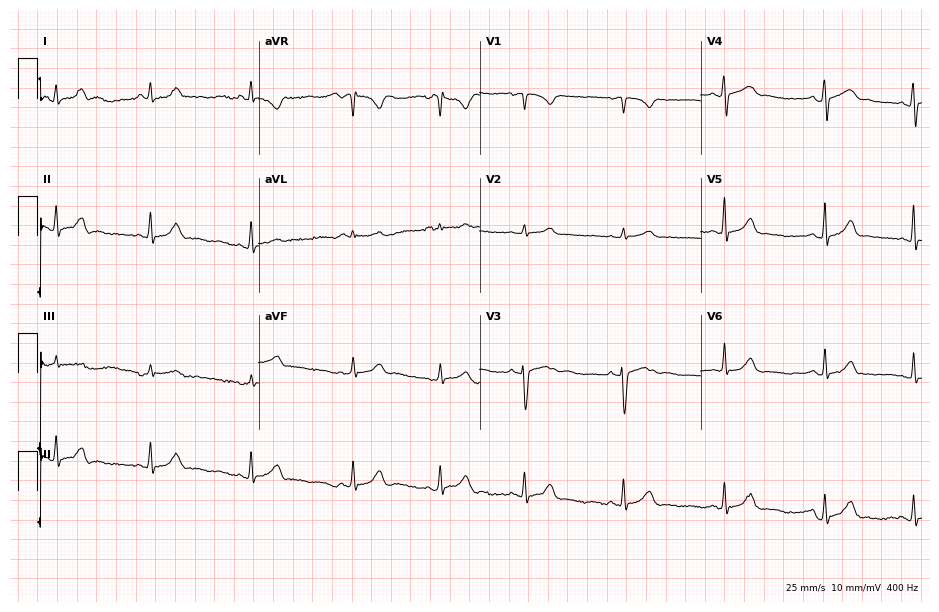
Resting 12-lead electrocardiogram. Patient: a woman, 17 years old. Read as a normal ECG.